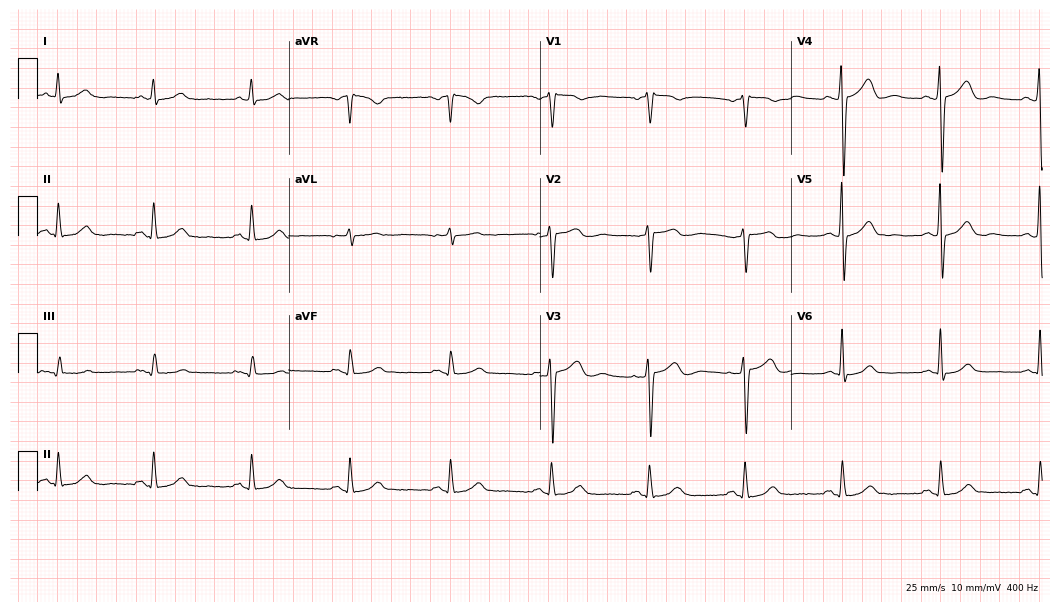
Standard 12-lead ECG recorded from a male, 52 years old. Read as a normal ECG.